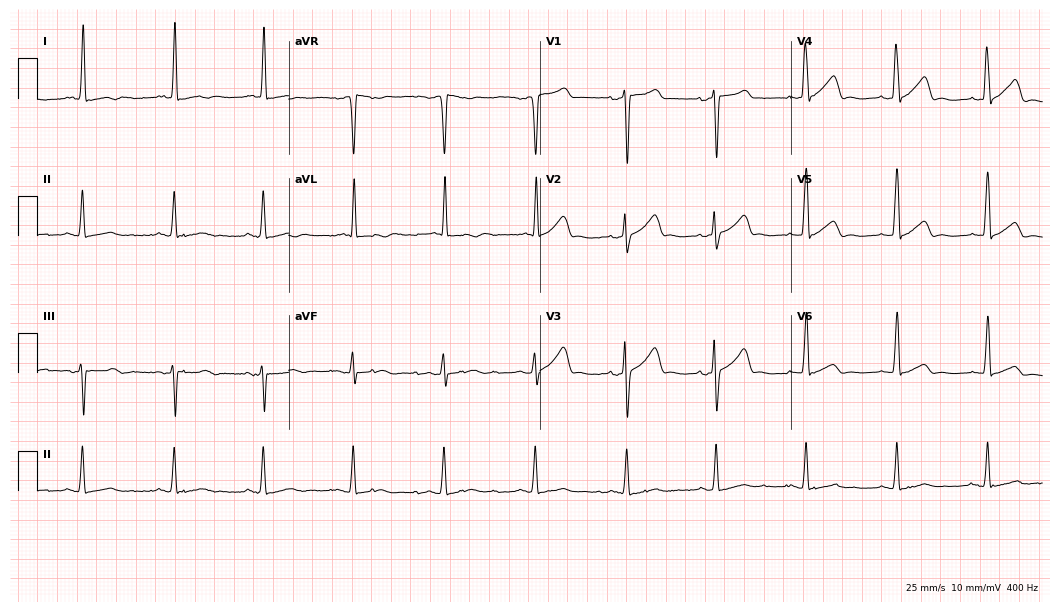
Standard 12-lead ECG recorded from a 63-year-old female patient. None of these six findings is recorded: first-degree AV block, right bundle branch block, left bundle branch block, sinus bradycardia, atrial fibrillation, sinus tachycardia.